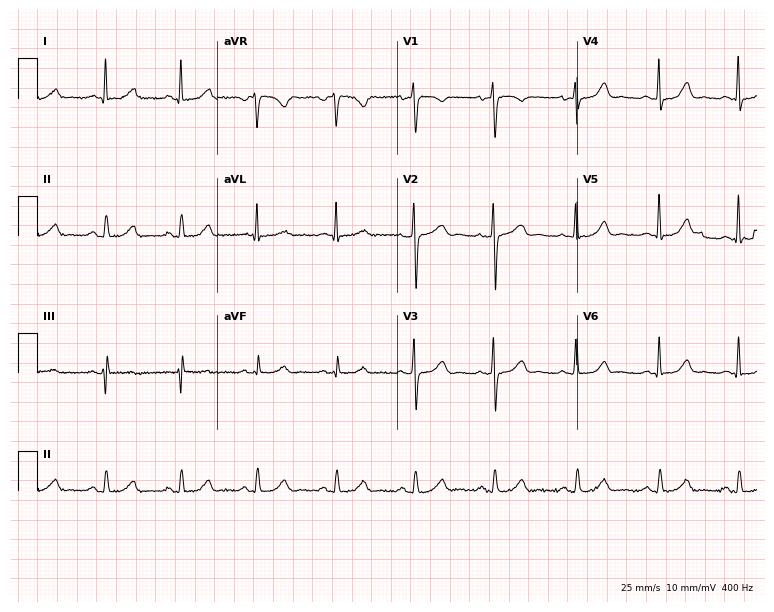
12-lead ECG (7.3-second recording at 400 Hz) from a female patient, 37 years old. Labelled as a normal ECG.